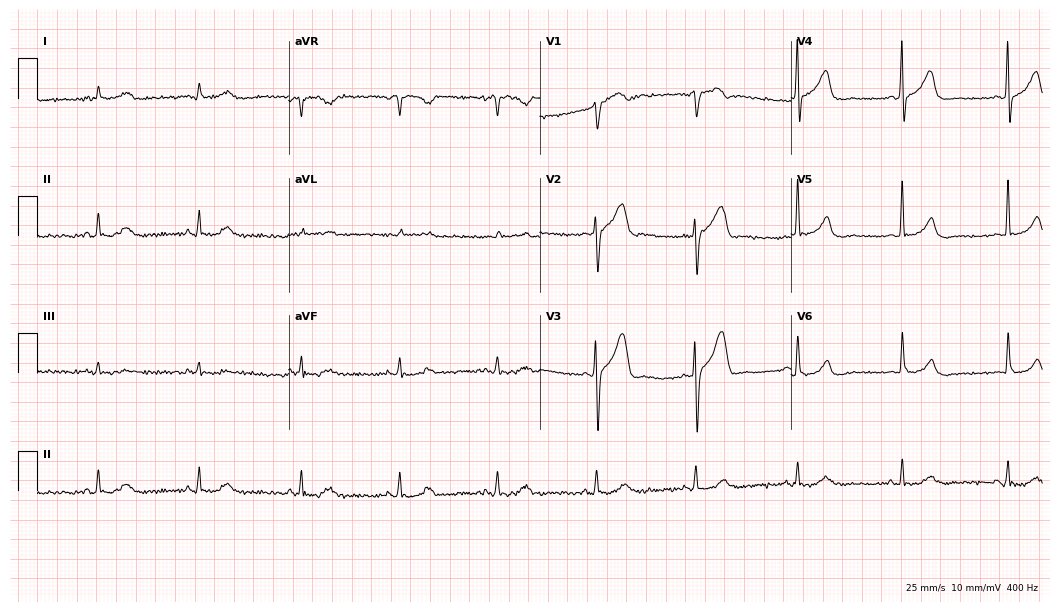
Standard 12-lead ECG recorded from a man, 66 years old. None of these six findings is recorded: first-degree AV block, right bundle branch block, left bundle branch block, sinus bradycardia, atrial fibrillation, sinus tachycardia.